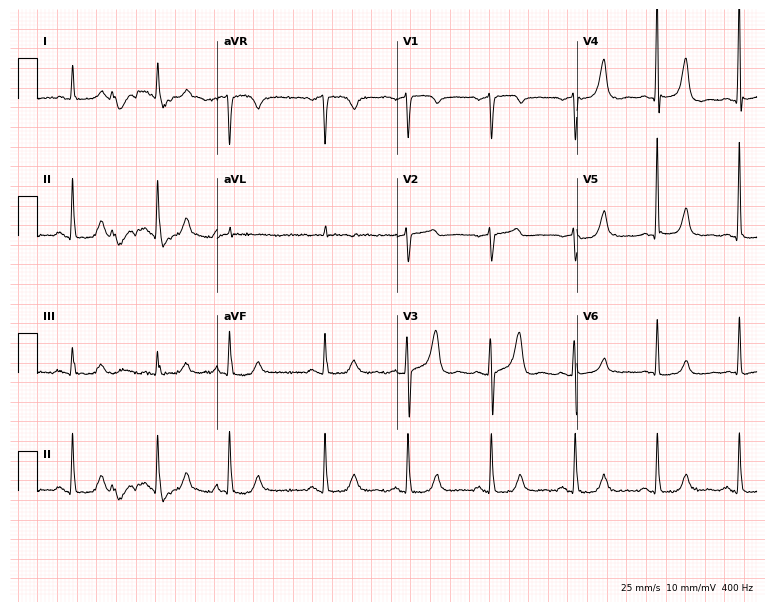
12-lead ECG from a 66-year-old female (7.3-second recording at 400 Hz). No first-degree AV block, right bundle branch block, left bundle branch block, sinus bradycardia, atrial fibrillation or sinus tachycardia recorded for this tracing.